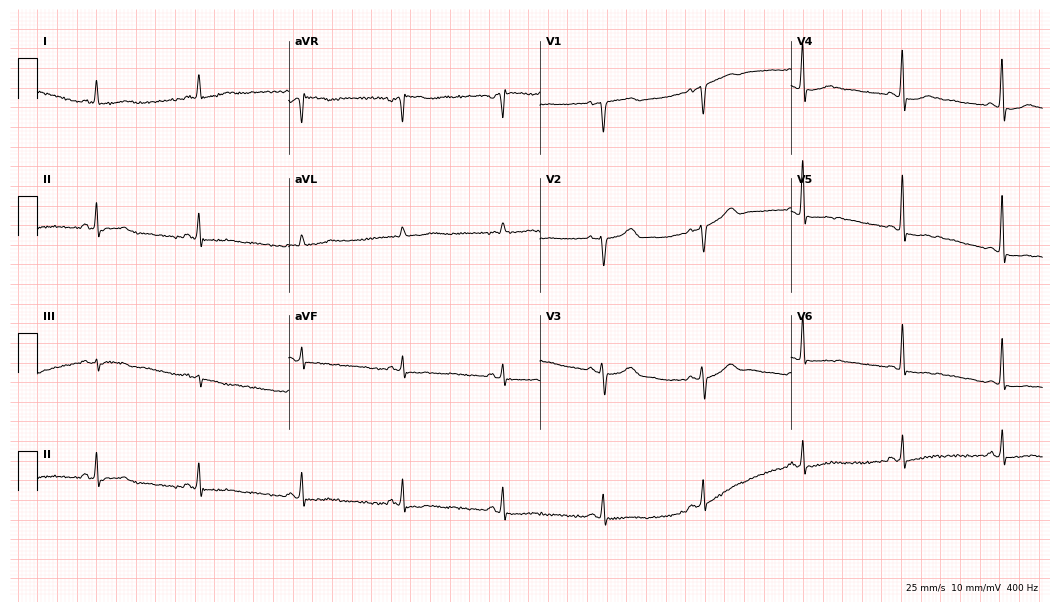
ECG (10.2-second recording at 400 Hz) — a female patient, 57 years old. Labelled as a normal ECG.